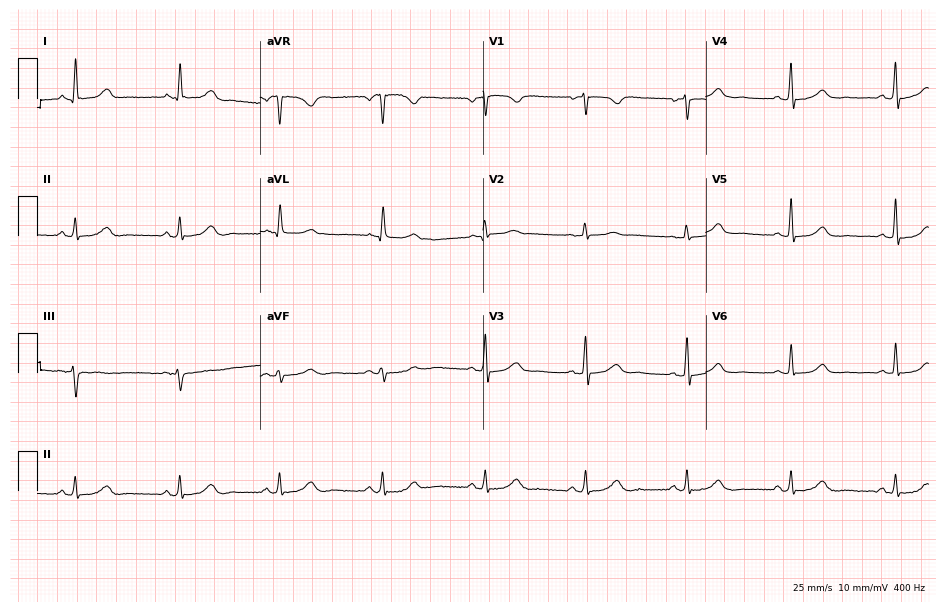
Electrocardiogram (9.1-second recording at 400 Hz), a 64-year-old female. Overall reading on record: normal ECG.